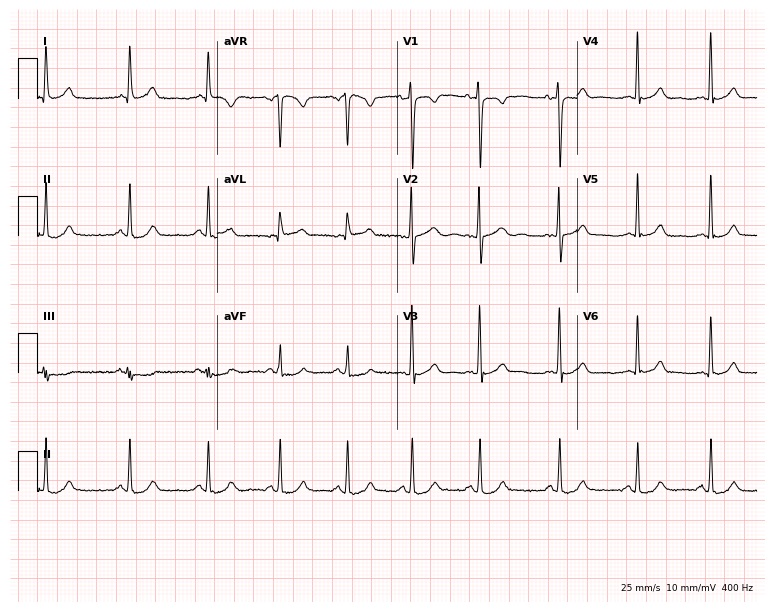
Electrocardiogram (7.3-second recording at 400 Hz), a 20-year-old female. Overall reading on record: normal ECG.